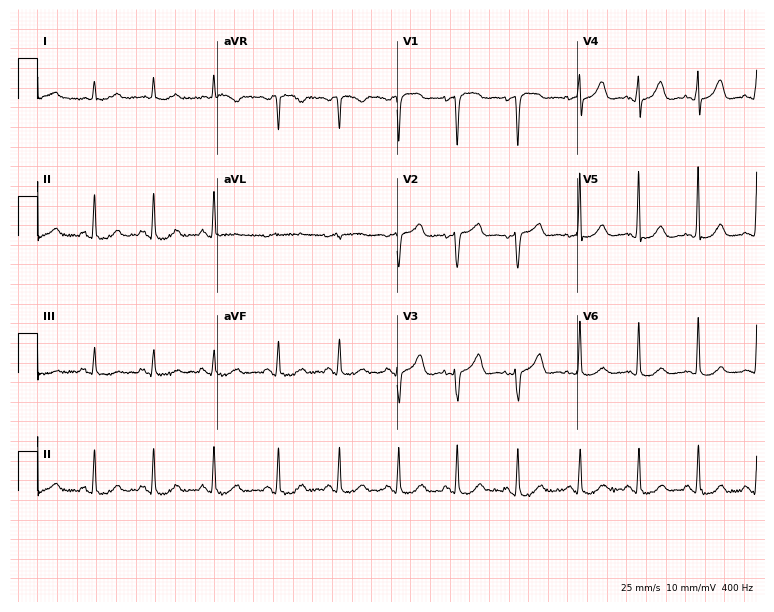
Electrocardiogram (7.3-second recording at 400 Hz), a 73-year-old female. Overall reading on record: normal ECG.